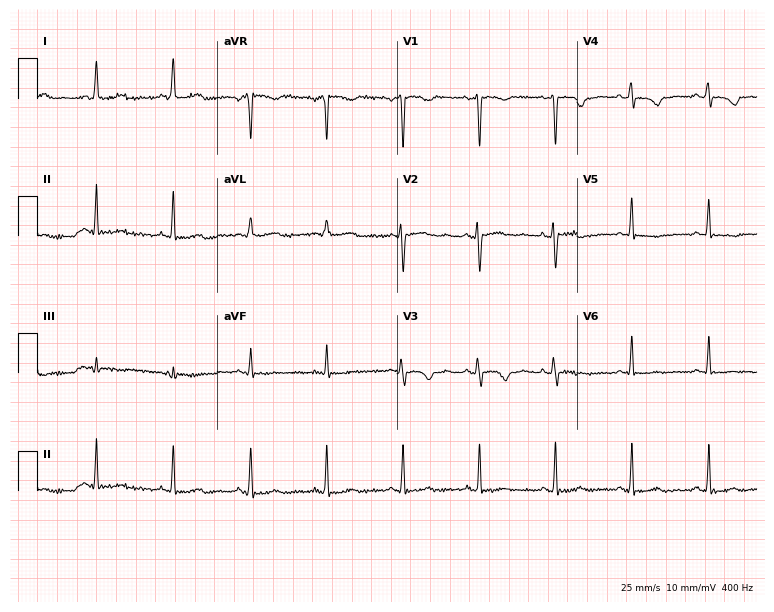
12-lead ECG from a 36-year-old female patient. No first-degree AV block, right bundle branch block (RBBB), left bundle branch block (LBBB), sinus bradycardia, atrial fibrillation (AF) or sinus tachycardia recorded for this tracing.